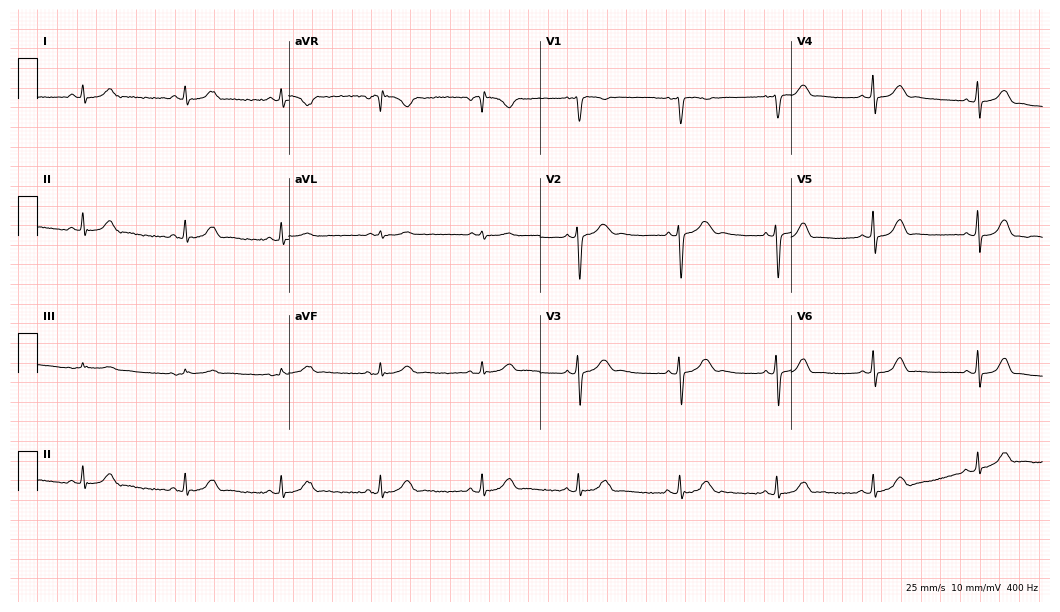
12-lead ECG from an 18-year-old female patient. Labelled as a normal ECG.